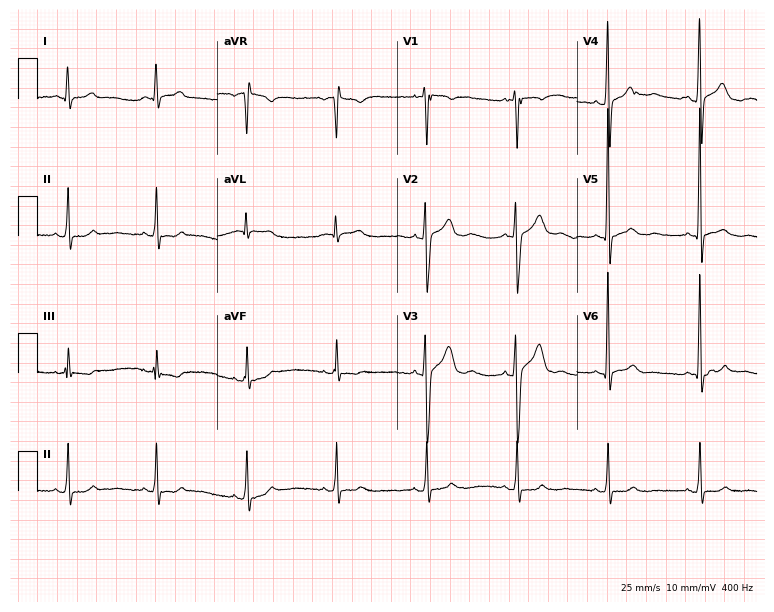
ECG — a 20-year-old man. Screened for six findings — first-degree AV block, right bundle branch block, left bundle branch block, sinus bradycardia, atrial fibrillation, sinus tachycardia — none is recorded.